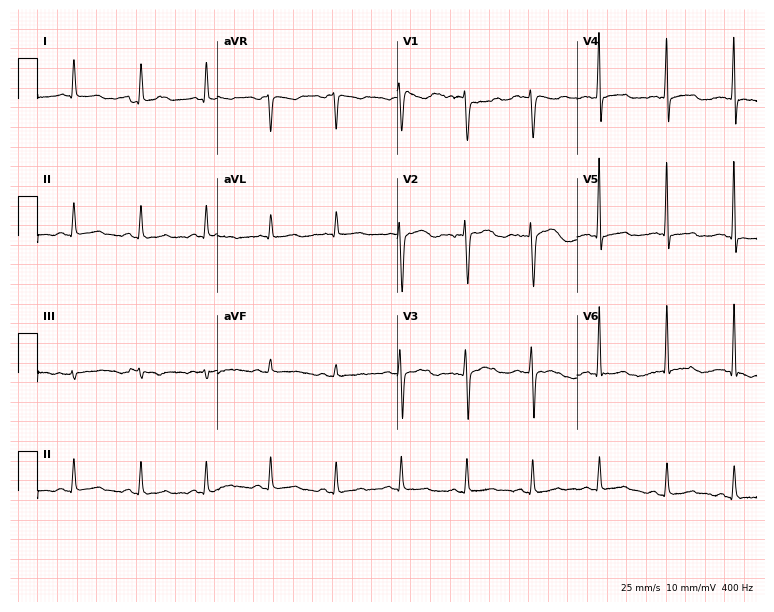
Electrocardiogram (7.3-second recording at 400 Hz), a female patient, 54 years old. Of the six screened findings (first-degree AV block, right bundle branch block (RBBB), left bundle branch block (LBBB), sinus bradycardia, atrial fibrillation (AF), sinus tachycardia), none is recorded.